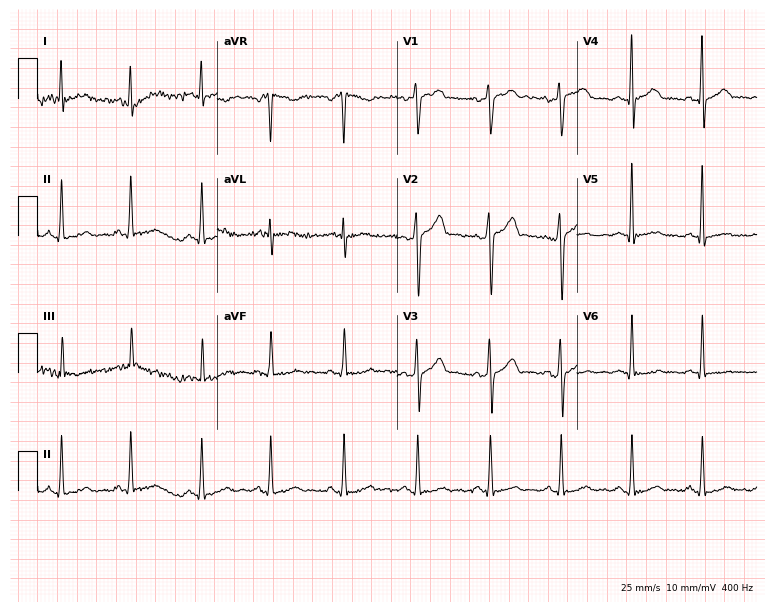
Electrocardiogram (7.3-second recording at 400 Hz), a 37-year-old man. Overall reading on record: normal ECG.